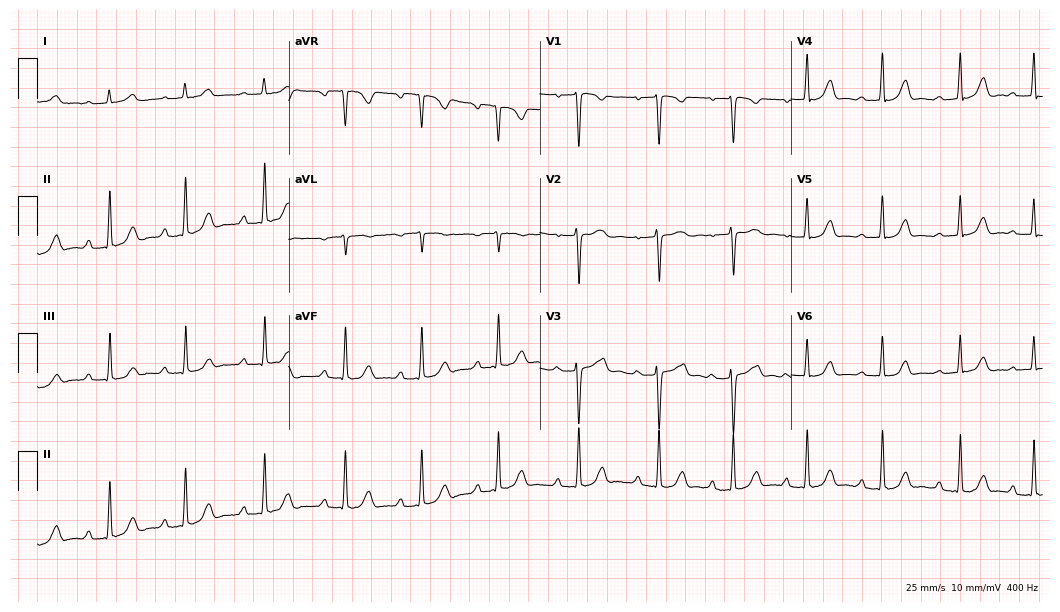
12-lead ECG from a 29-year-old woman. Screened for six findings — first-degree AV block, right bundle branch block, left bundle branch block, sinus bradycardia, atrial fibrillation, sinus tachycardia — none is recorded.